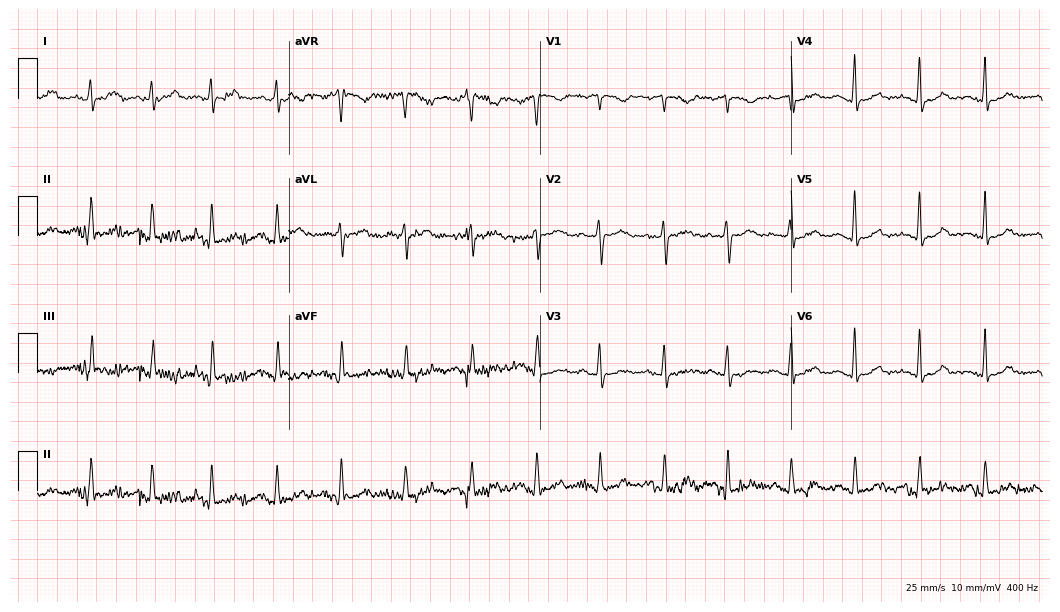
ECG — a female, 38 years old. Screened for six findings — first-degree AV block, right bundle branch block (RBBB), left bundle branch block (LBBB), sinus bradycardia, atrial fibrillation (AF), sinus tachycardia — none is recorded.